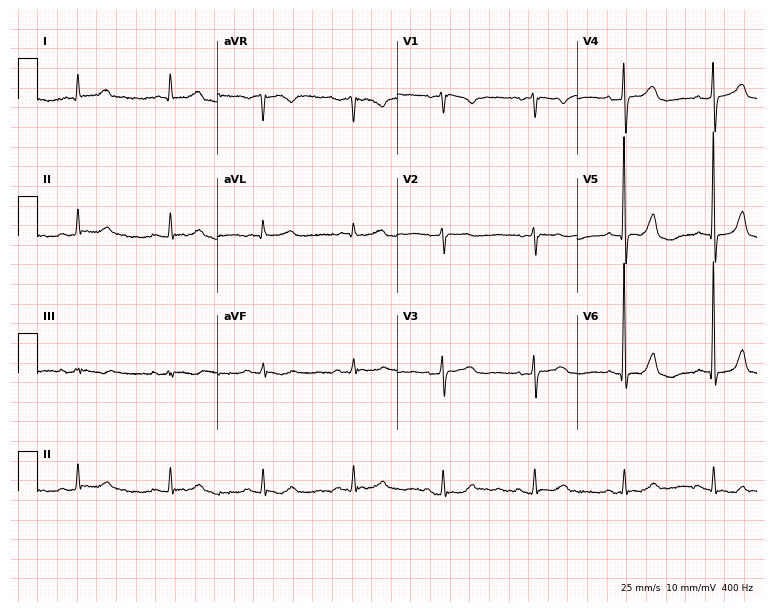
12-lead ECG from an 80-year-old female patient. Screened for six findings — first-degree AV block, right bundle branch block, left bundle branch block, sinus bradycardia, atrial fibrillation, sinus tachycardia — none is recorded.